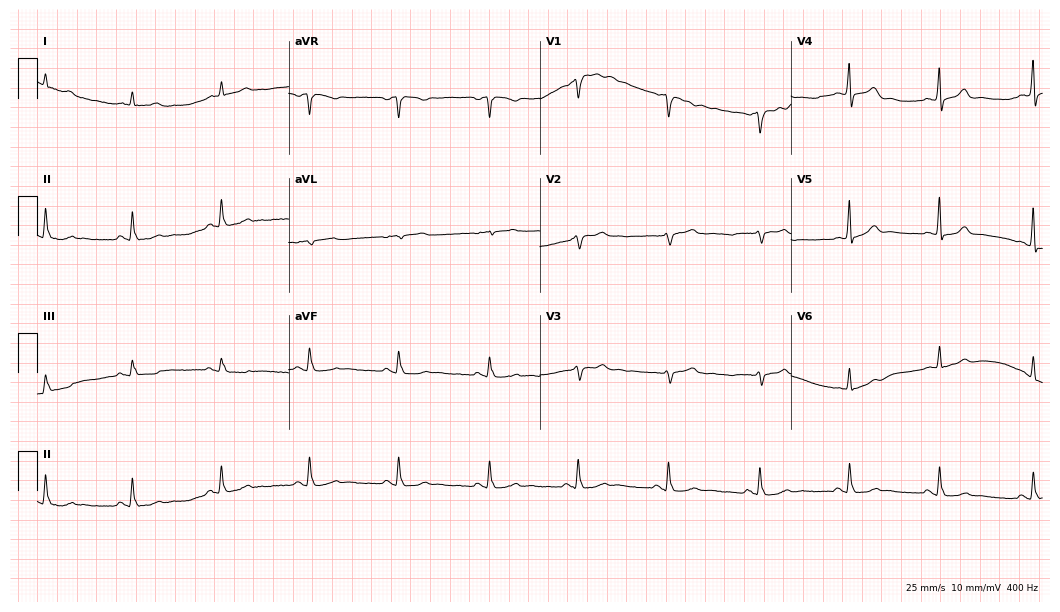
12-lead ECG from a 74-year-old male patient (10.2-second recording at 400 Hz). No first-degree AV block, right bundle branch block (RBBB), left bundle branch block (LBBB), sinus bradycardia, atrial fibrillation (AF) or sinus tachycardia recorded for this tracing. Findings outside these six are not listed.